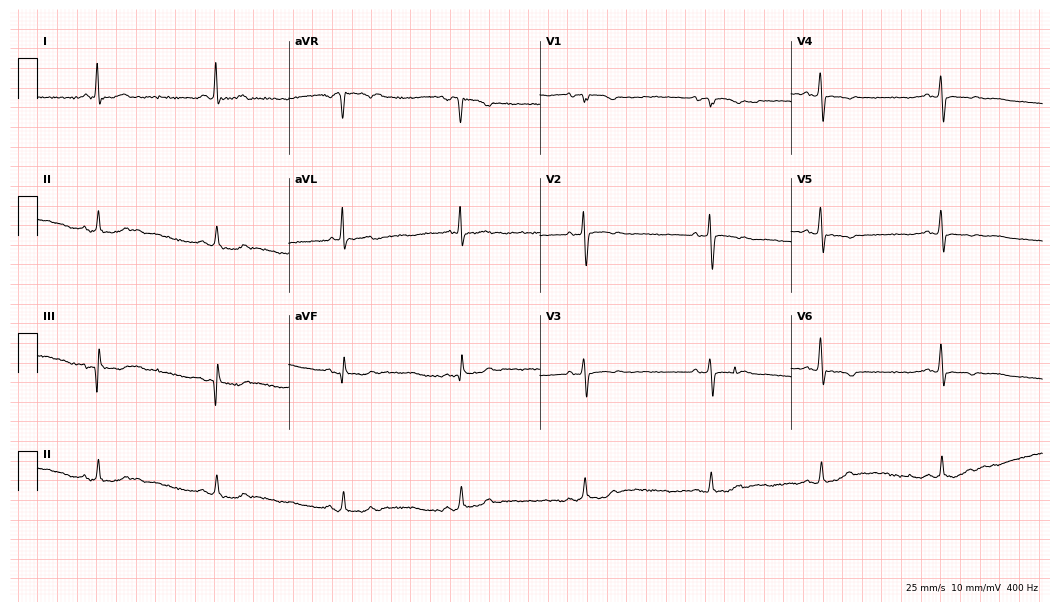
Resting 12-lead electrocardiogram. Patient: a woman, 85 years old. None of these six findings is recorded: first-degree AV block, right bundle branch block, left bundle branch block, sinus bradycardia, atrial fibrillation, sinus tachycardia. Only these six findings were labelled.